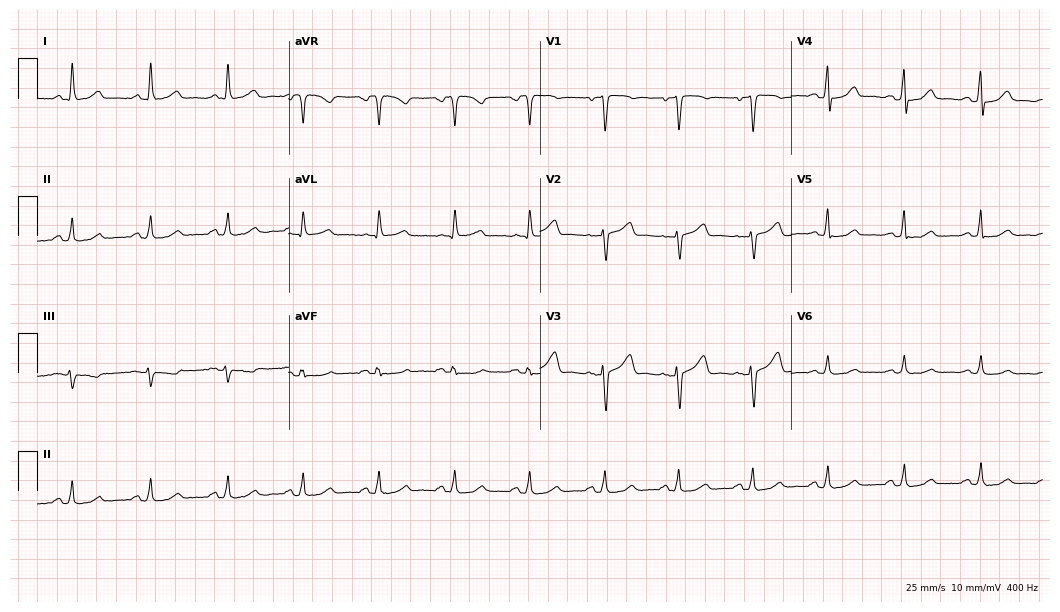
Resting 12-lead electrocardiogram (10.2-second recording at 400 Hz). Patient: a woman, 58 years old. Read as a normal ECG.